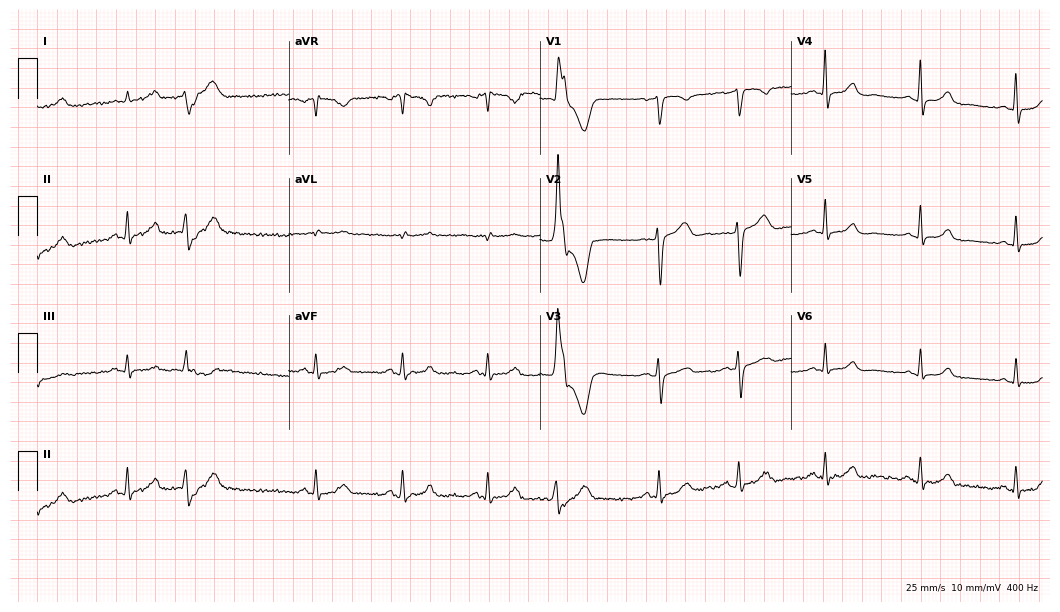
12-lead ECG (10.2-second recording at 400 Hz) from a 59-year-old male. Screened for six findings — first-degree AV block, right bundle branch block (RBBB), left bundle branch block (LBBB), sinus bradycardia, atrial fibrillation (AF), sinus tachycardia — none is recorded. Other findings, if any, are not listed.